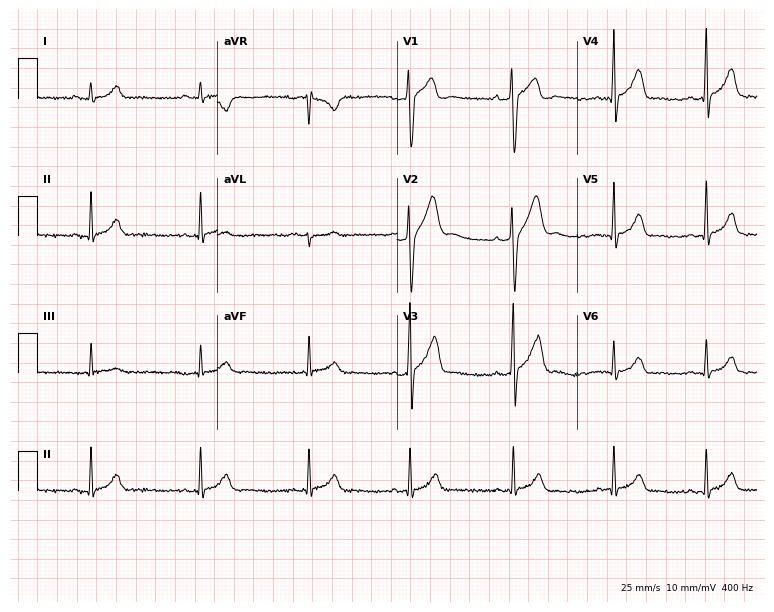
Standard 12-lead ECG recorded from a 24-year-old male. None of these six findings is recorded: first-degree AV block, right bundle branch block (RBBB), left bundle branch block (LBBB), sinus bradycardia, atrial fibrillation (AF), sinus tachycardia.